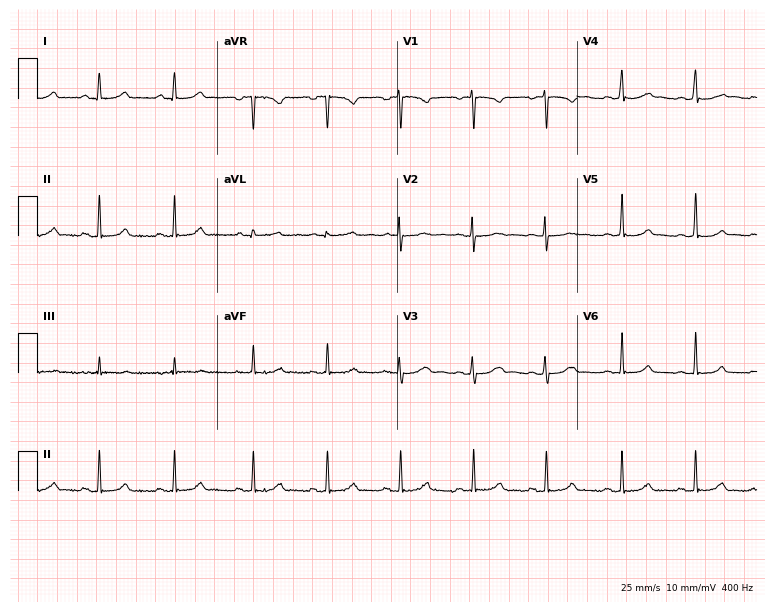
Standard 12-lead ECG recorded from a woman, 17 years old. None of these six findings is recorded: first-degree AV block, right bundle branch block, left bundle branch block, sinus bradycardia, atrial fibrillation, sinus tachycardia. Only these six findings were labelled.